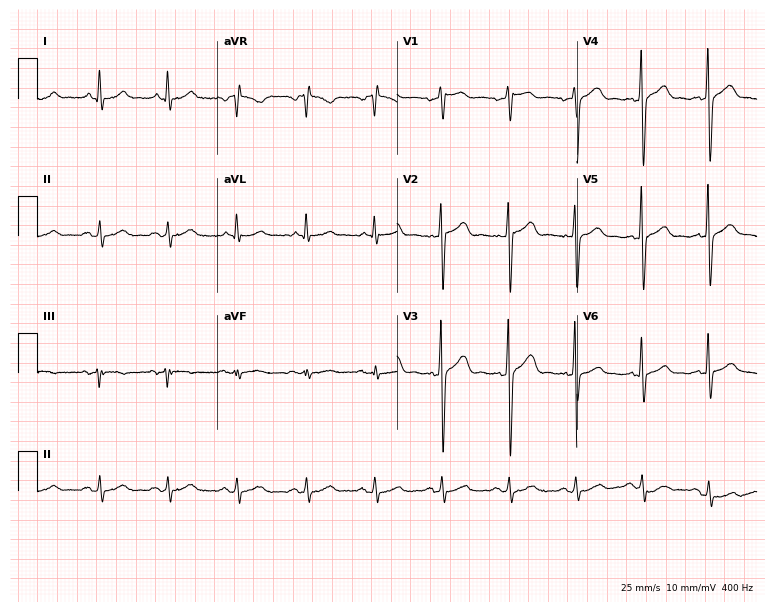
12-lead ECG from a 50-year-old male patient. Screened for six findings — first-degree AV block, right bundle branch block, left bundle branch block, sinus bradycardia, atrial fibrillation, sinus tachycardia — none is recorded. Other findings, if any, are not listed.